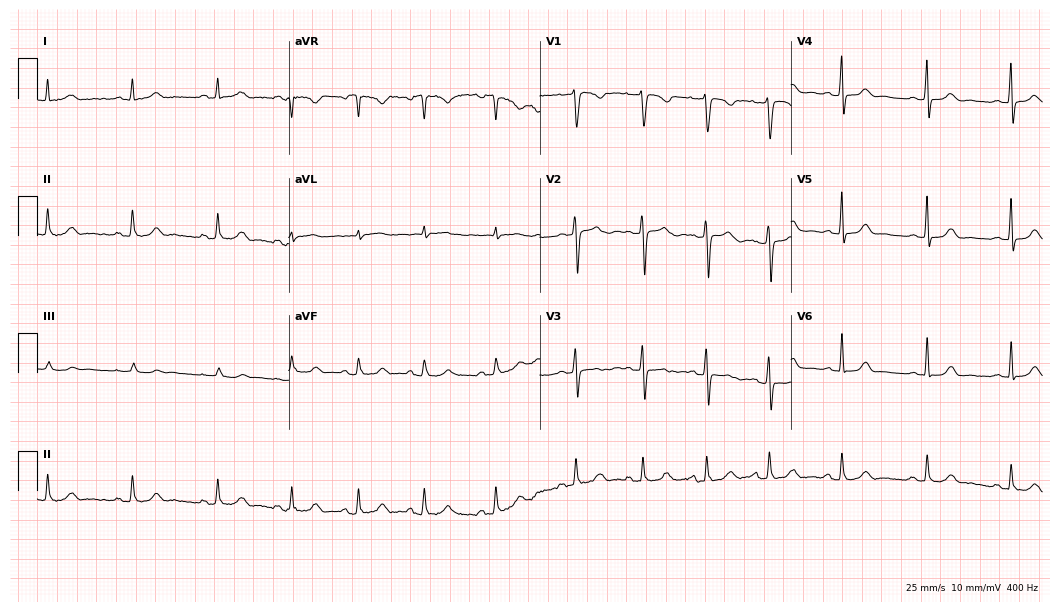
Electrocardiogram, a 25-year-old woman. Overall reading on record: normal ECG.